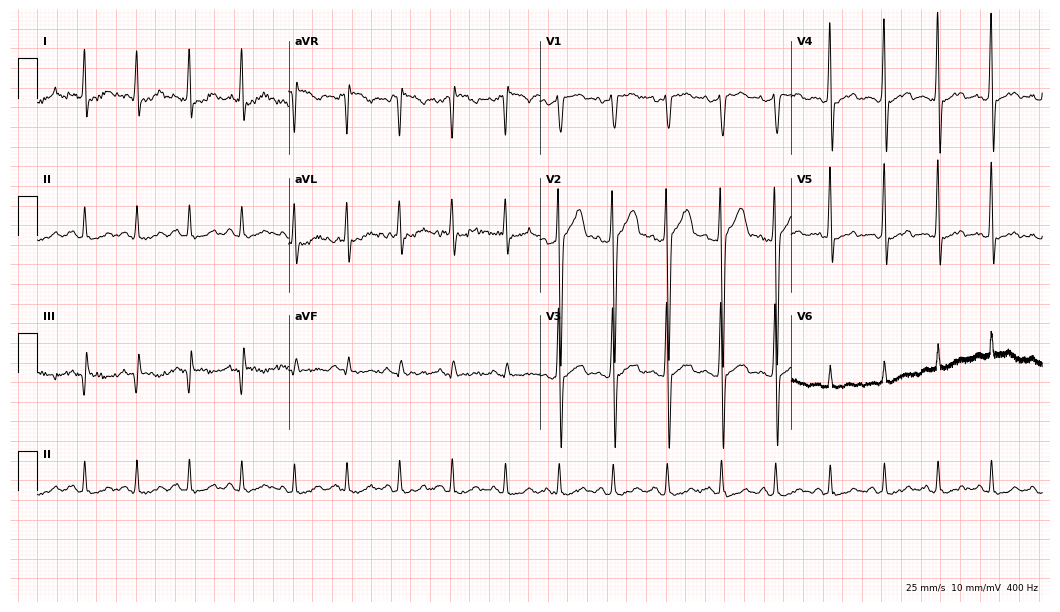
Resting 12-lead electrocardiogram. Patient: a 37-year-old male. The tracing shows sinus tachycardia (a sinus rate of 100 beats per minute or more).